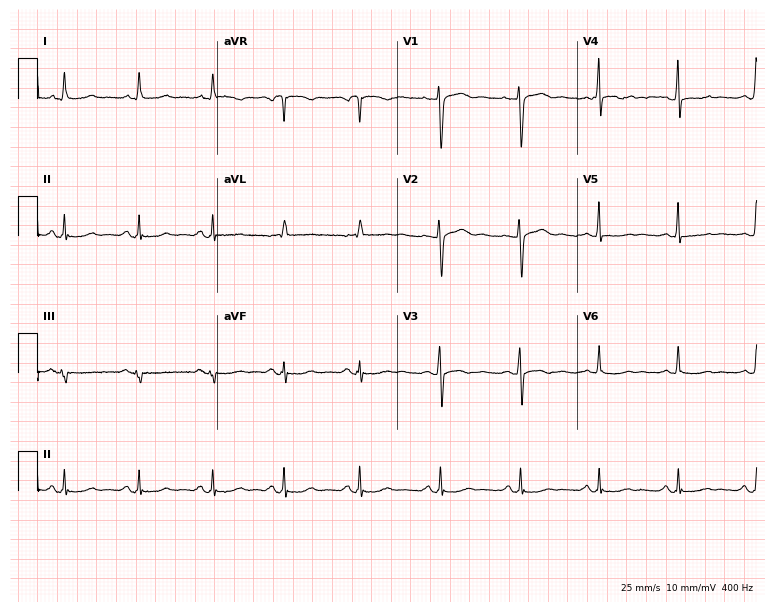
ECG — a female patient, 51 years old. Screened for six findings — first-degree AV block, right bundle branch block, left bundle branch block, sinus bradycardia, atrial fibrillation, sinus tachycardia — none is recorded.